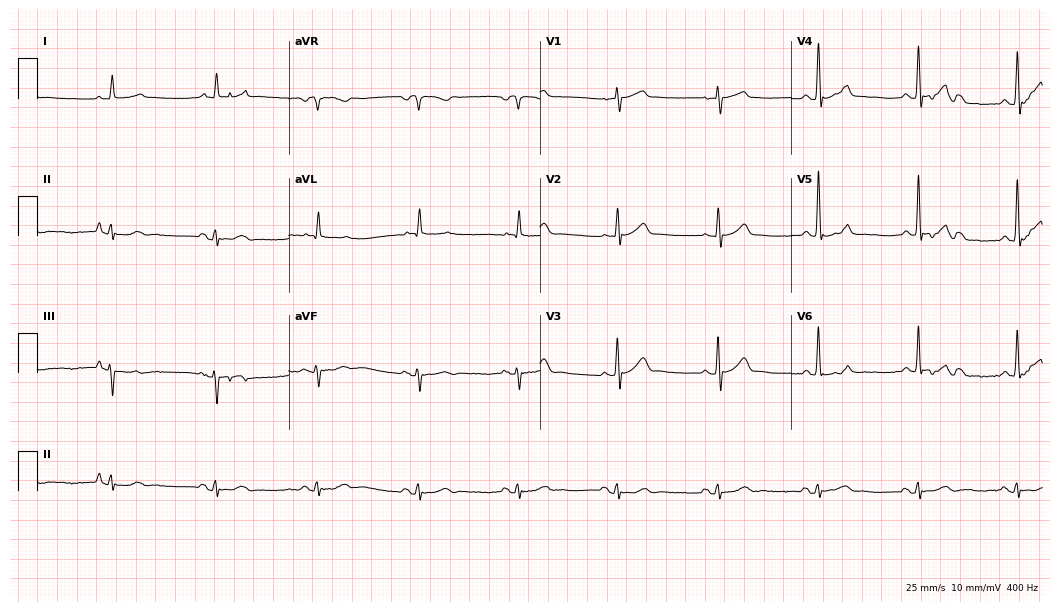
Electrocardiogram, a male patient, 84 years old. Overall reading on record: normal ECG.